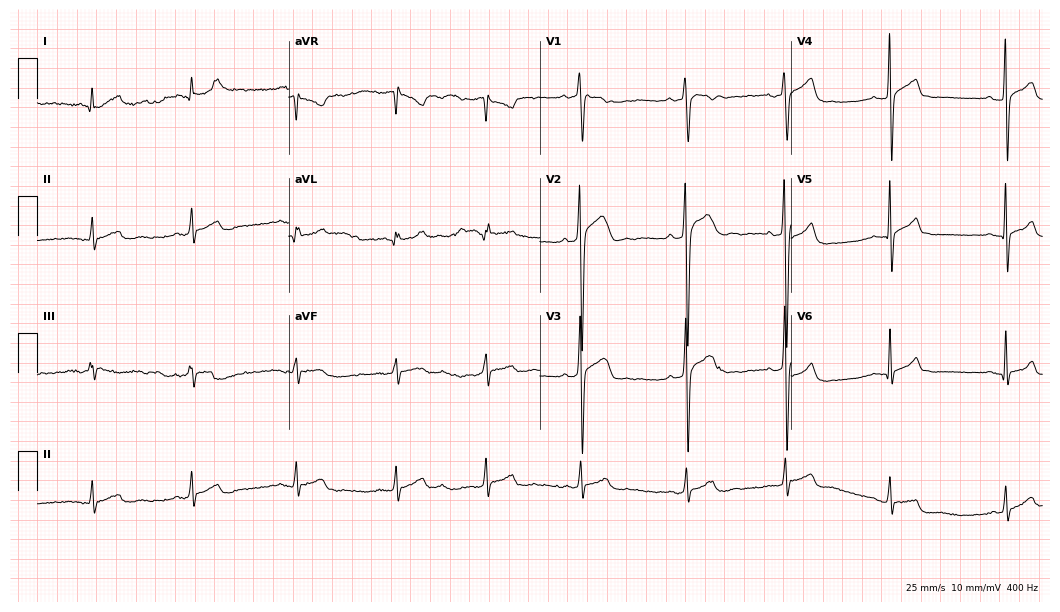
Standard 12-lead ECG recorded from a man, 22 years old. None of these six findings is recorded: first-degree AV block, right bundle branch block (RBBB), left bundle branch block (LBBB), sinus bradycardia, atrial fibrillation (AF), sinus tachycardia. Findings outside these six are not listed.